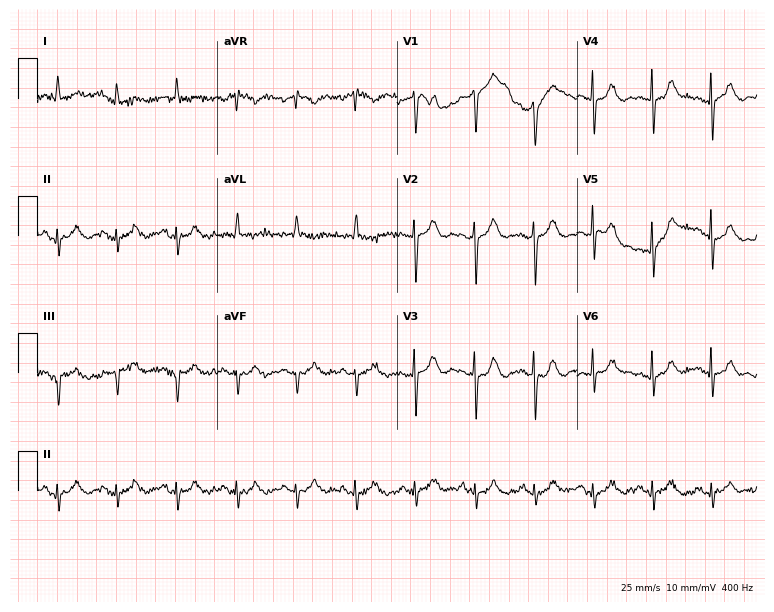
Standard 12-lead ECG recorded from an 83-year-old female. Read as a normal ECG.